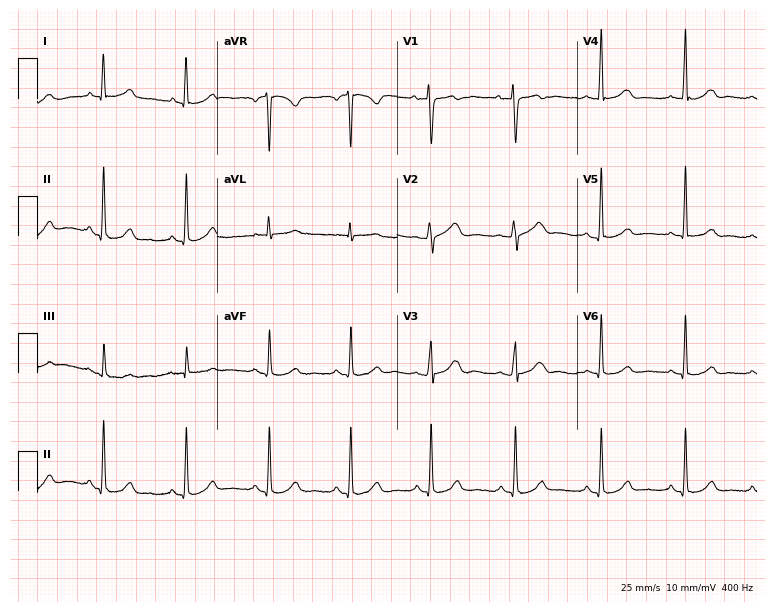
Standard 12-lead ECG recorded from a female, 48 years old (7.3-second recording at 400 Hz). Read as a normal ECG.